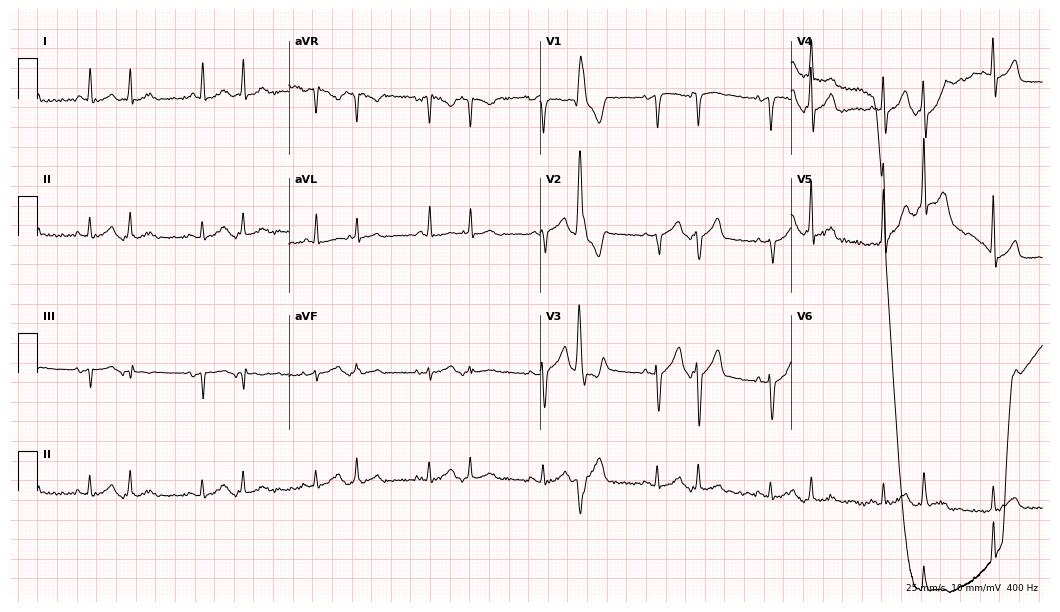
12-lead ECG from a man, 75 years old. No first-degree AV block, right bundle branch block, left bundle branch block, sinus bradycardia, atrial fibrillation or sinus tachycardia recorded for this tracing.